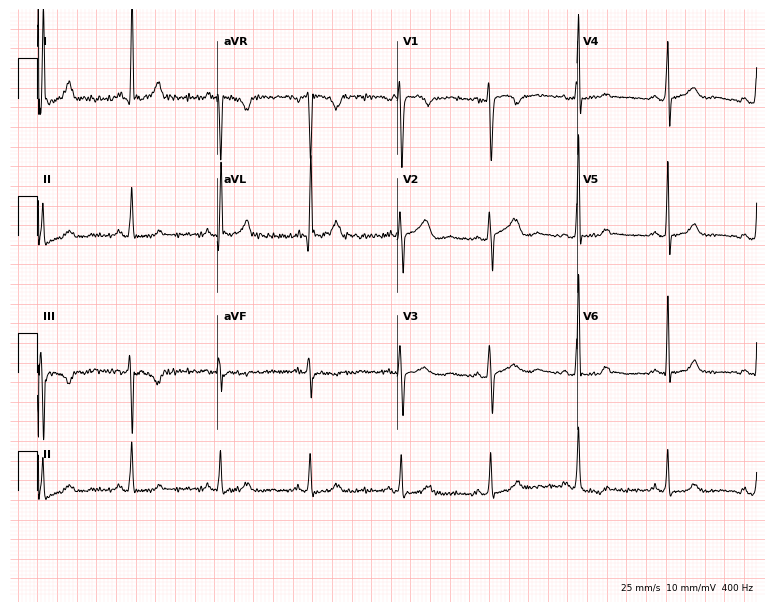
Electrocardiogram (7.3-second recording at 400 Hz), a 43-year-old woman. Of the six screened findings (first-degree AV block, right bundle branch block, left bundle branch block, sinus bradycardia, atrial fibrillation, sinus tachycardia), none is recorded. Findings outside these six are not listed.